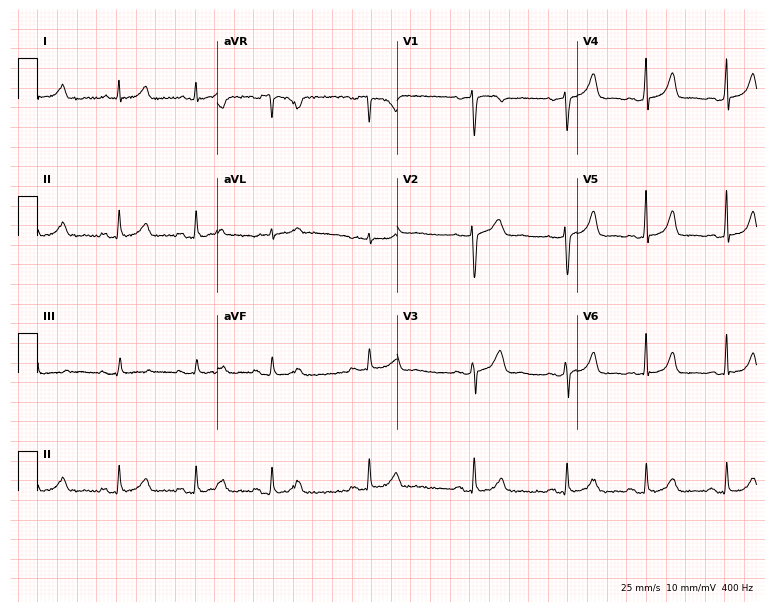
ECG — a female patient, 27 years old. Labelled as a normal ECG.